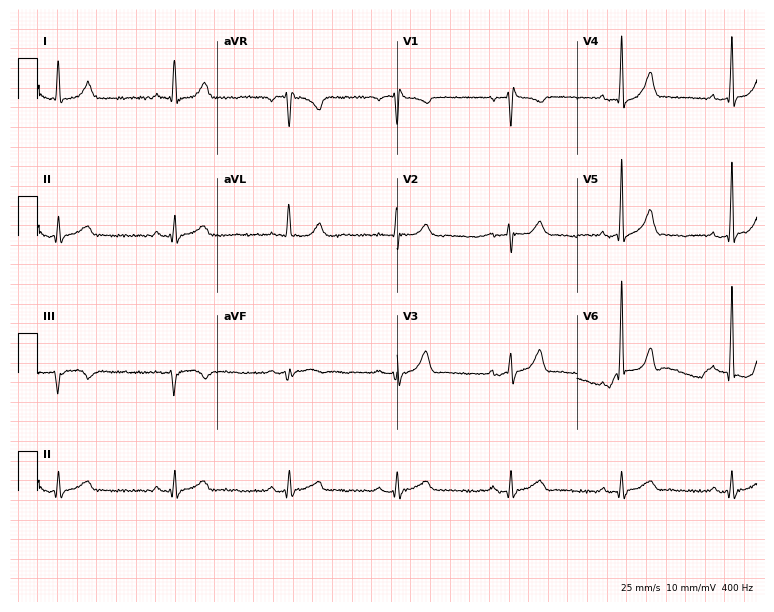
Electrocardiogram (7.3-second recording at 400 Hz), a male patient, 56 years old. Of the six screened findings (first-degree AV block, right bundle branch block (RBBB), left bundle branch block (LBBB), sinus bradycardia, atrial fibrillation (AF), sinus tachycardia), none is recorded. Only these six findings were labelled.